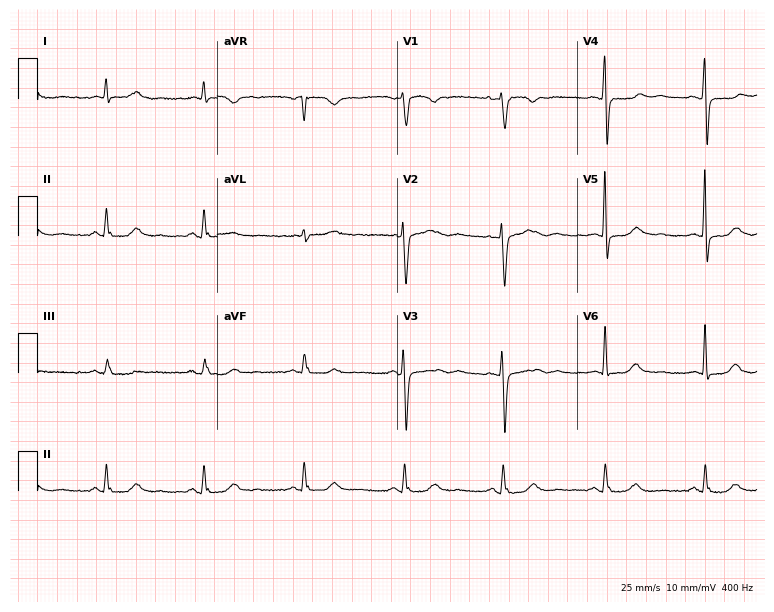
Resting 12-lead electrocardiogram. Patient: a female, 55 years old. Read as a normal ECG.